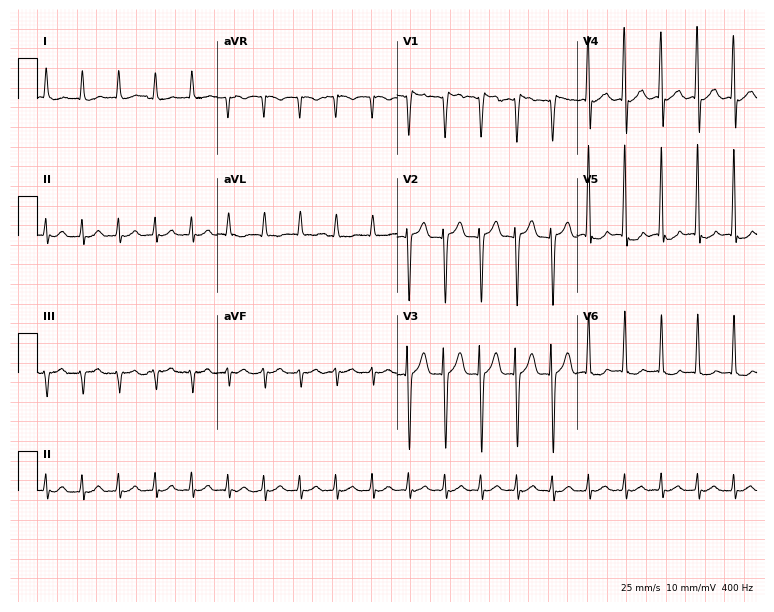
Electrocardiogram (7.3-second recording at 400 Hz), a 53-year-old female. Interpretation includes sinus tachycardia (a sinus rate of 100 beats per minute or more).